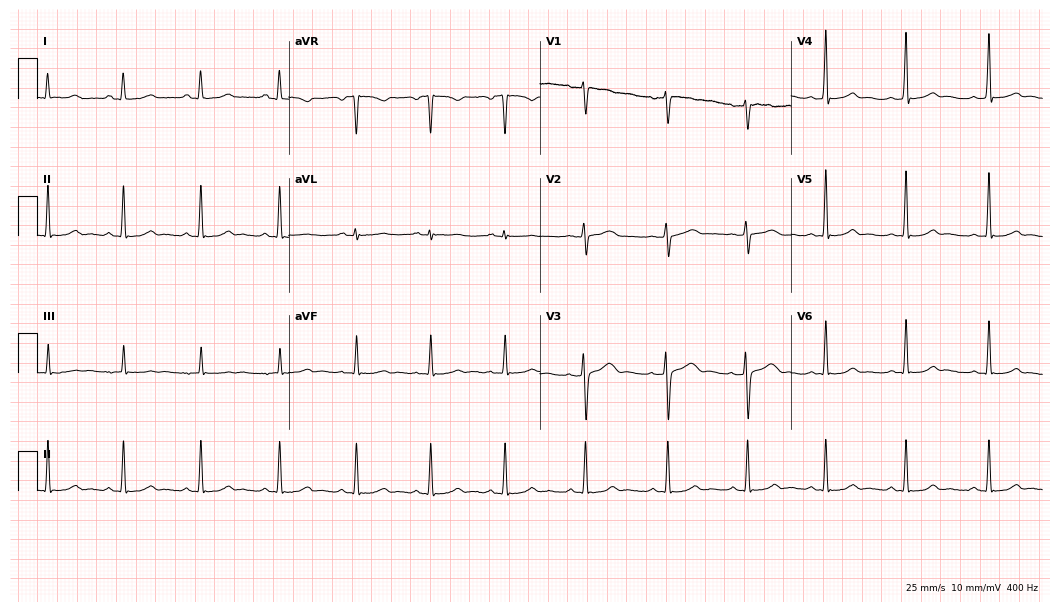
Electrocardiogram, a female patient, 32 years old. Overall reading on record: normal ECG.